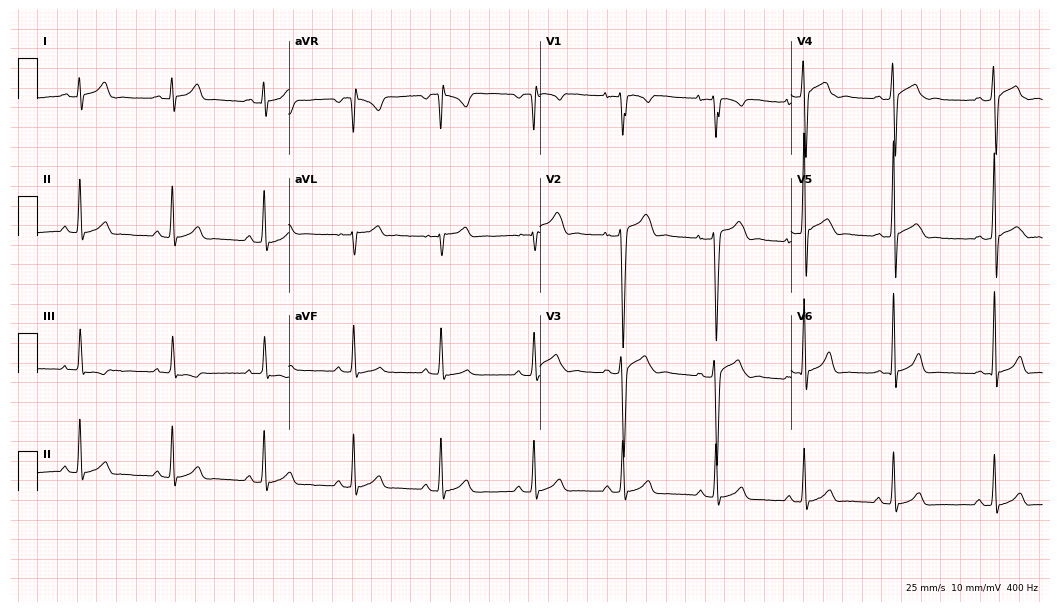
Standard 12-lead ECG recorded from a 19-year-old male. None of these six findings is recorded: first-degree AV block, right bundle branch block, left bundle branch block, sinus bradycardia, atrial fibrillation, sinus tachycardia.